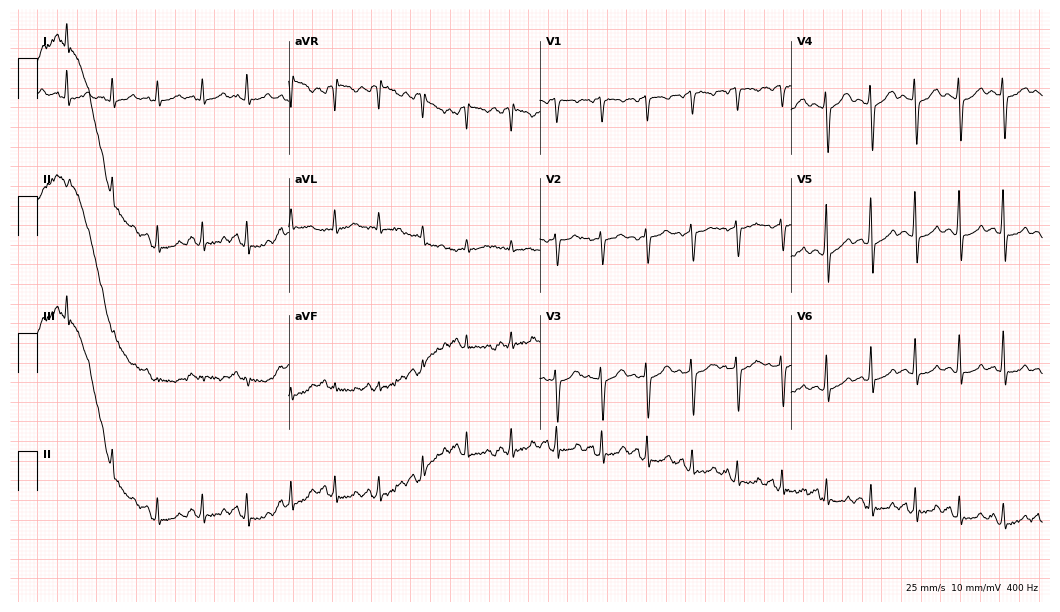
12-lead ECG from a female, 38 years old. Findings include sinus tachycardia (a sinus rate of 100 beats per minute or more).